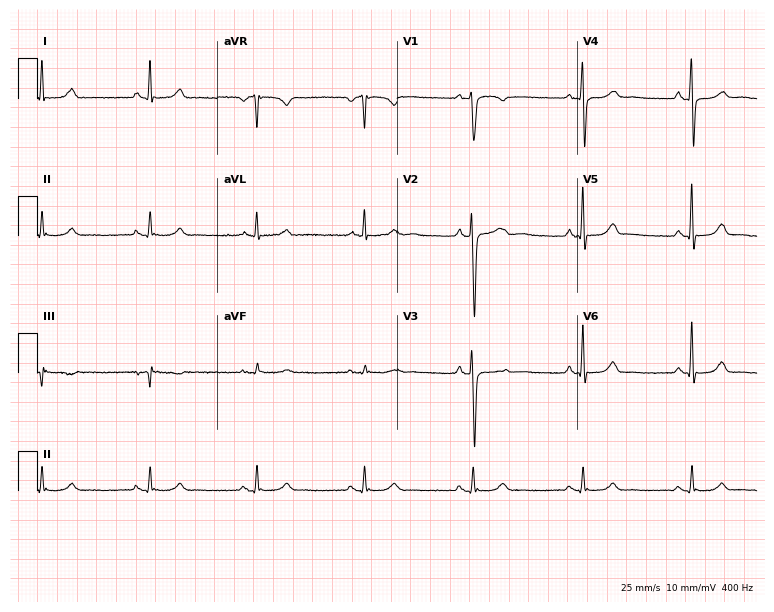
Electrocardiogram (7.3-second recording at 400 Hz), a male, 64 years old. Overall reading on record: normal ECG.